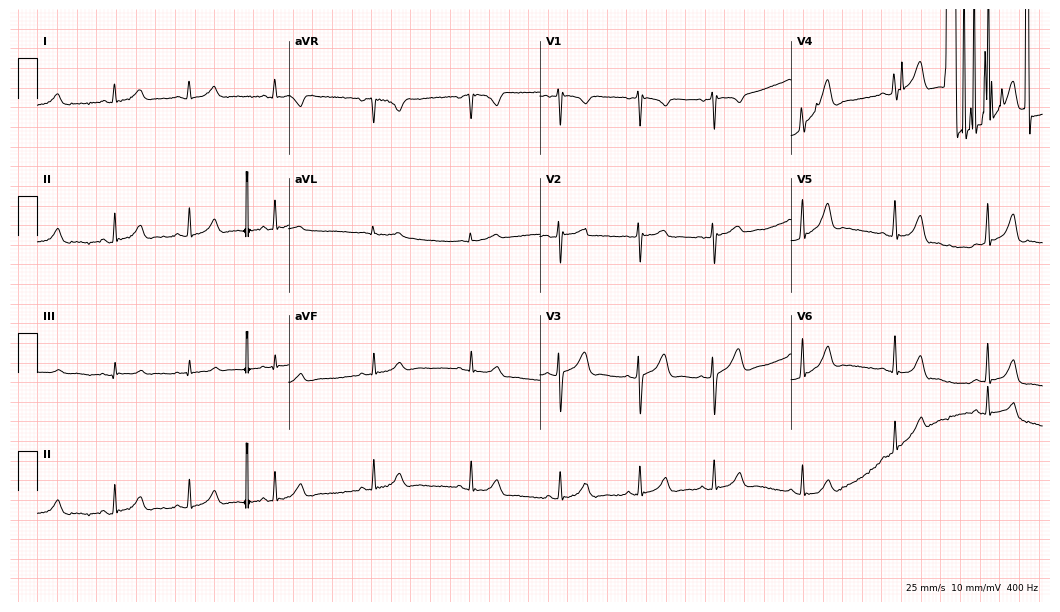
Electrocardiogram (10.2-second recording at 400 Hz), an 18-year-old woman. Of the six screened findings (first-degree AV block, right bundle branch block, left bundle branch block, sinus bradycardia, atrial fibrillation, sinus tachycardia), none is recorded. Other findings, if any, are not listed.